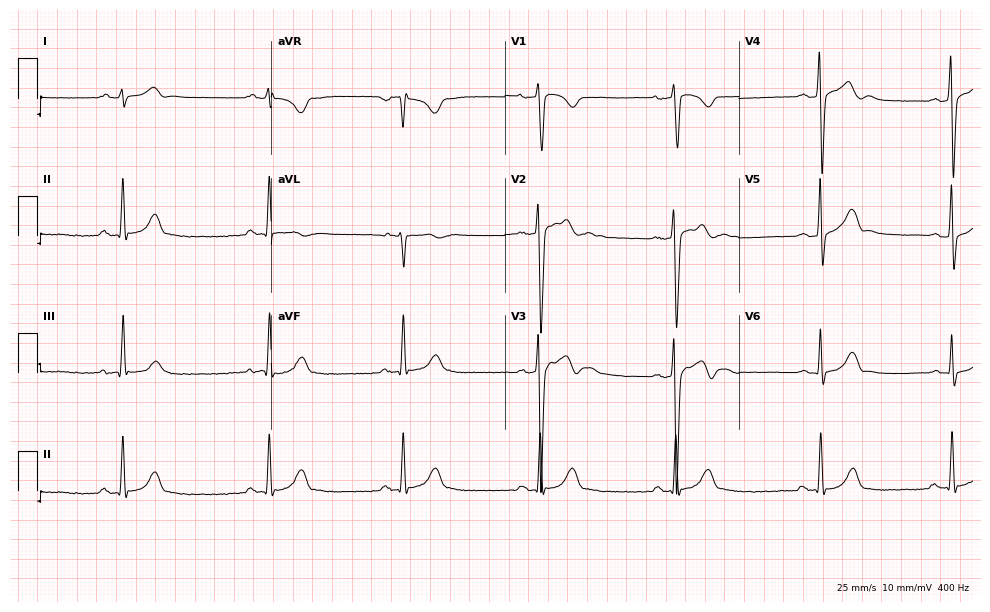
12-lead ECG (9.5-second recording at 400 Hz) from a 22-year-old man. Findings include sinus bradycardia (a sinus rate of 50 beats per minute or less).